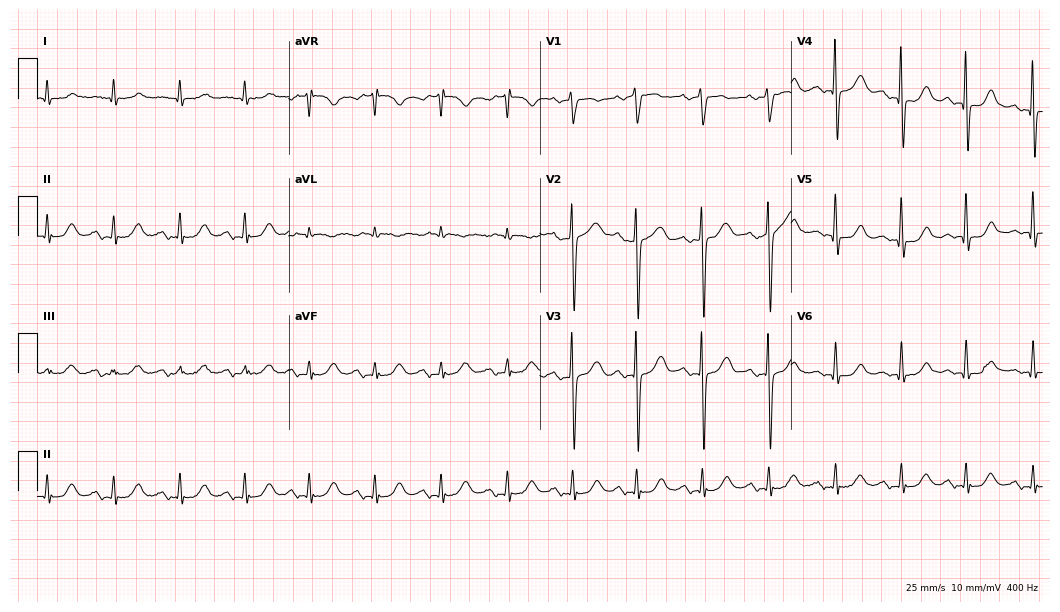
Standard 12-lead ECG recorded from a 73-year-old male. The tracing shows first-degree AV block.